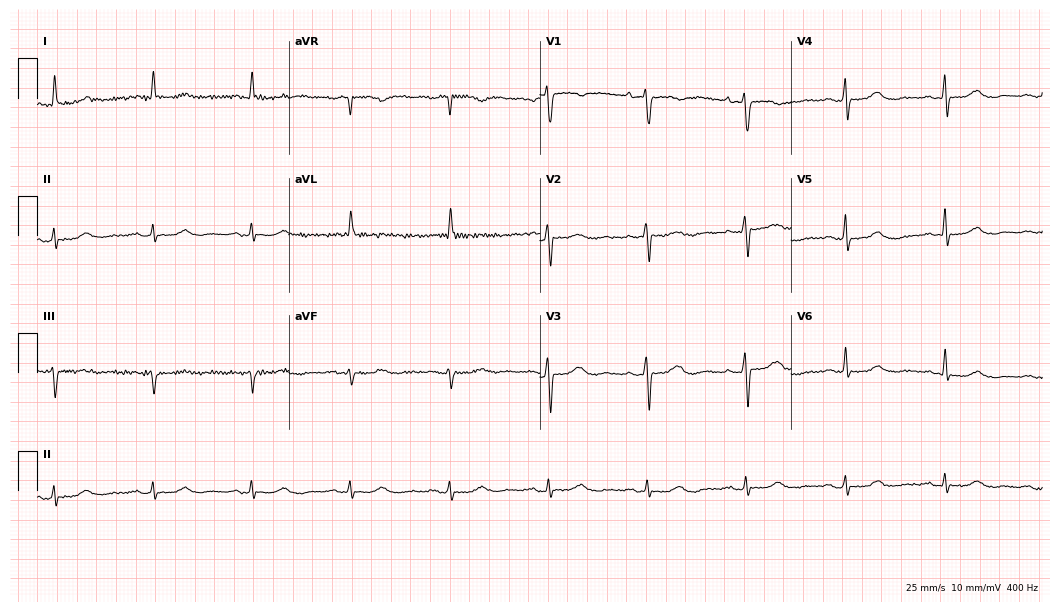
12-lead ECG from an 83-year-old woman. No first-degree AV block, right bundle branch block, left bundle branch block, sinus bradycardia, atrial fibrillation or sinus tachycardia recorded for this tracing. Only these six findings were labelled.